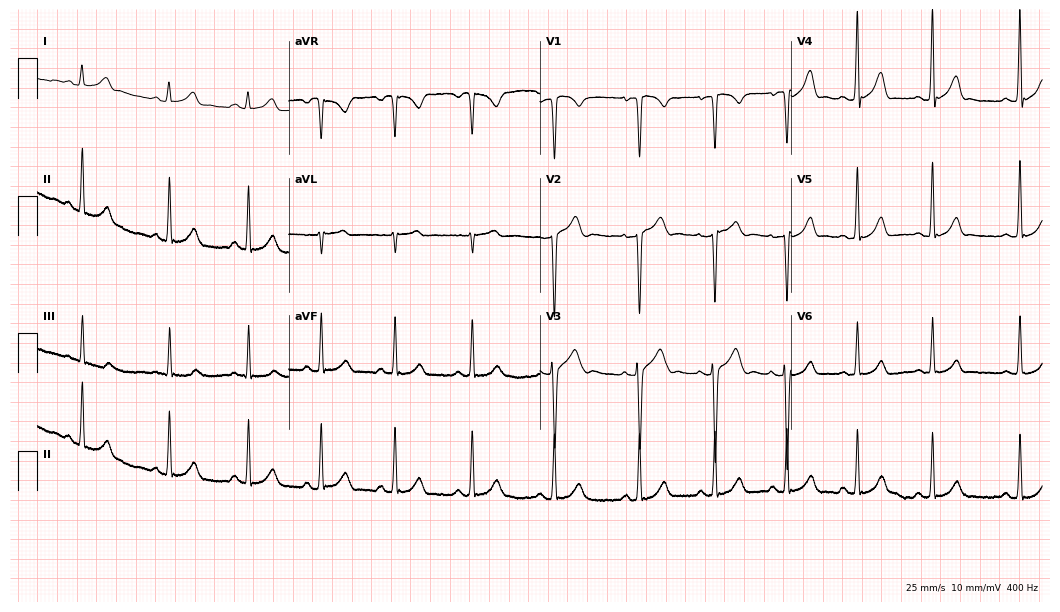
Standard 12-lead ECG recorded from a 24-year-old male (10.2-second recording at 400 Hz). Read as a normal ECG.